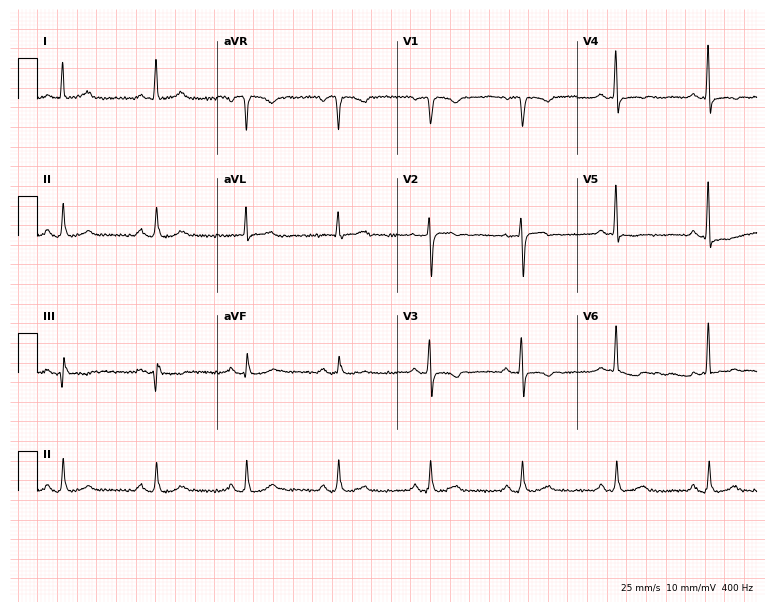
12-lead ECG (7.3-second recording at 400 Hz) from a woman, 48 years old. Screened for six findings — first-degree AV block, right bundle branch block, left bundle branch block, sinus bradycardia, atrial fibrillation, sinus tachycardia — none is recorded. Other findings, if any, are not listed.